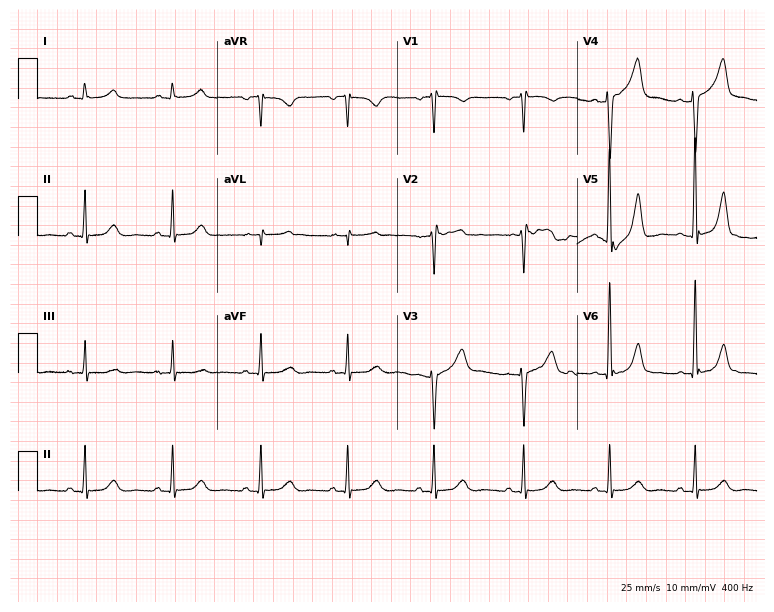
ECG — a 53-year-old man. Screened for six findings — first-degree AV block, right bundle branch block, left bundle branch block, sinus bradycardia, atrial fibrillation, sinus tachycardia — none is recorded. Other findings, if any, are not listed.